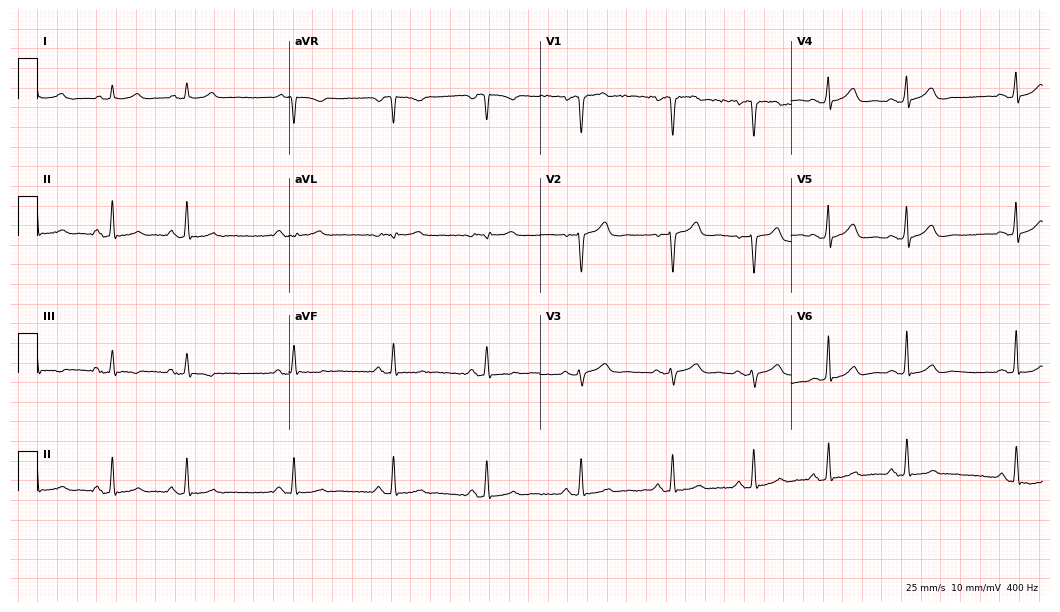
Resting 12-lead electrocardiogram. Patient: a 69-year-old male. Read as a normal ECG.